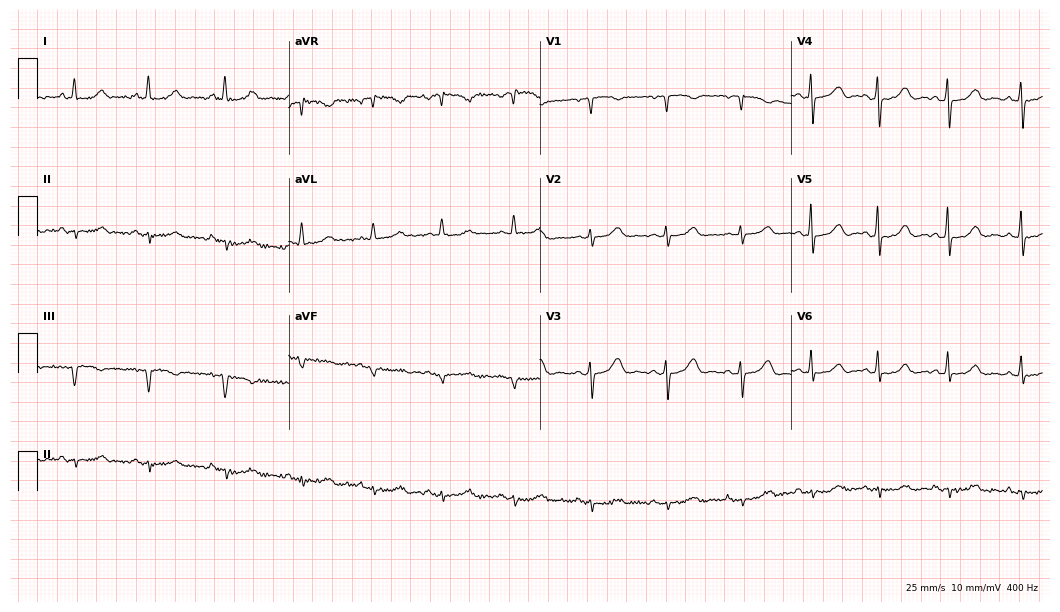
ECG (10.2-second recording at 400 Hz) — a woman, 53 years old. Screened for six findings — first-degree AV block, right bundle branch block (RBBB), left bundle branch block (LBBB), sinus bradycardia, atrial fibrillation (AF), sinus tachycardia — none is recorded. Other findings, if any, are not listed.